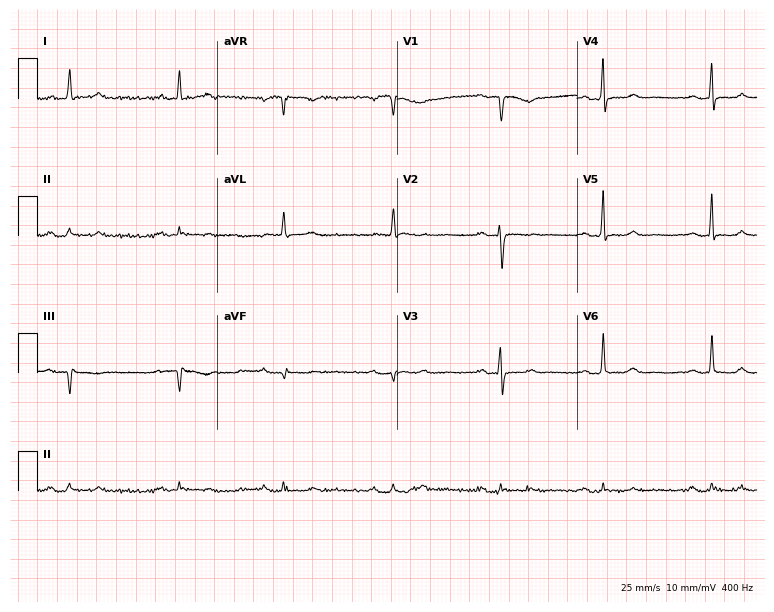
12-lead ECG (7.3-second recording at 400 Hz) from a 49-year-old woman. Screened for six findings — first-degree AV block, right bundle branch block, left bundle branch block, sinus bradycardia, atrial fibrillation, sinus tachycardia — none is recorded.